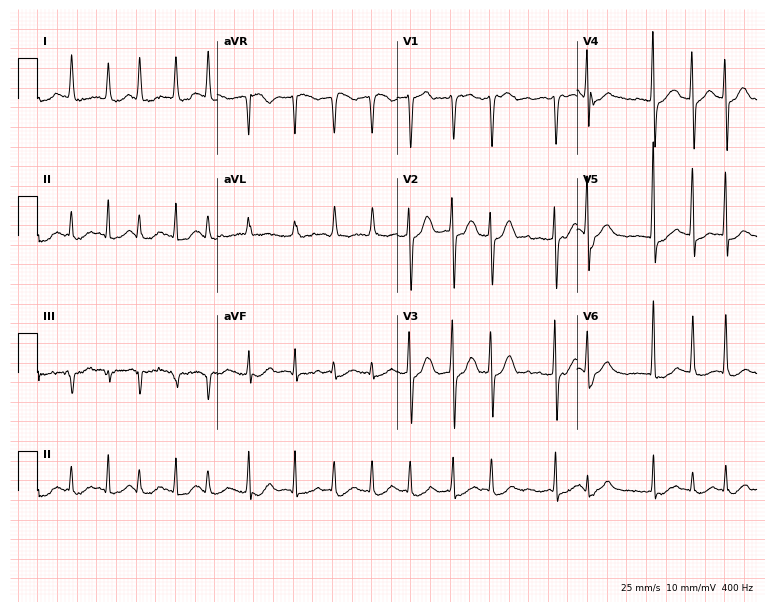
ECG (7.3-second recording at 400 Hz) — a 56-year-old woman. Findings include atrial fibrillation.